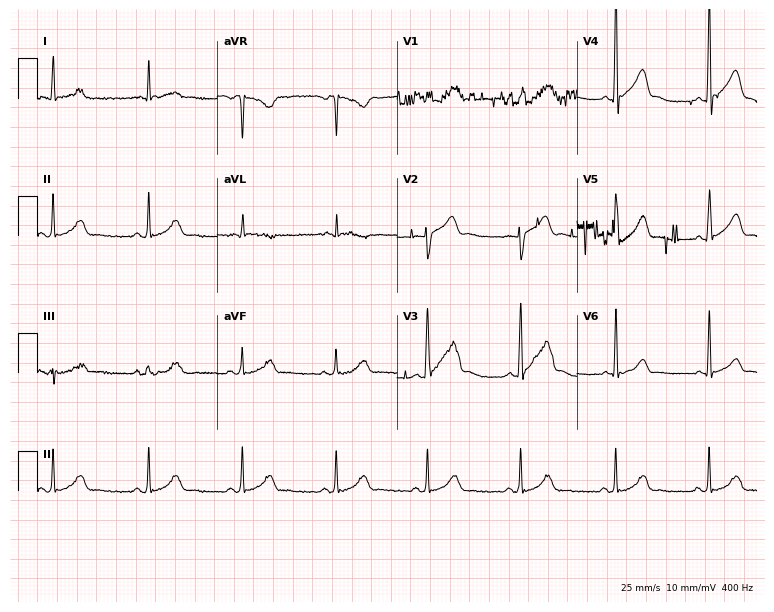
12-lead ECG (7.3-second recording at 400 Hz) from a male patient, 27 years old. Labelled as a normal ECG.